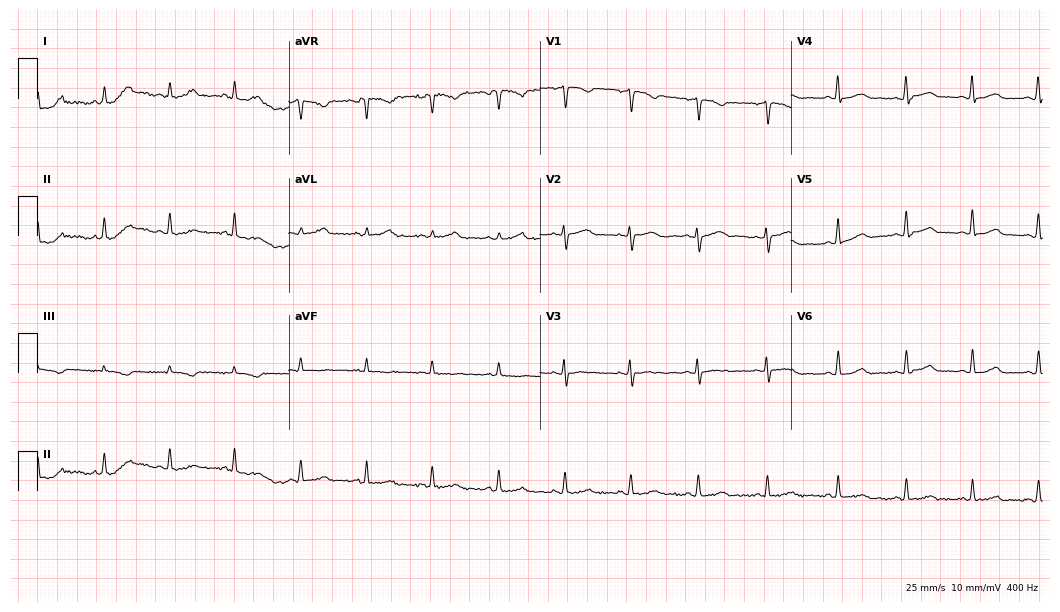
12-lead ECG from a female, 37 years old. Screened for six findings — first-degree AV block, right bundle branch block, left bundle branch block, sinus bradycardia, atrial fibrillation, sinus tachycardia — none is recorded. Only these six findings were labelled.